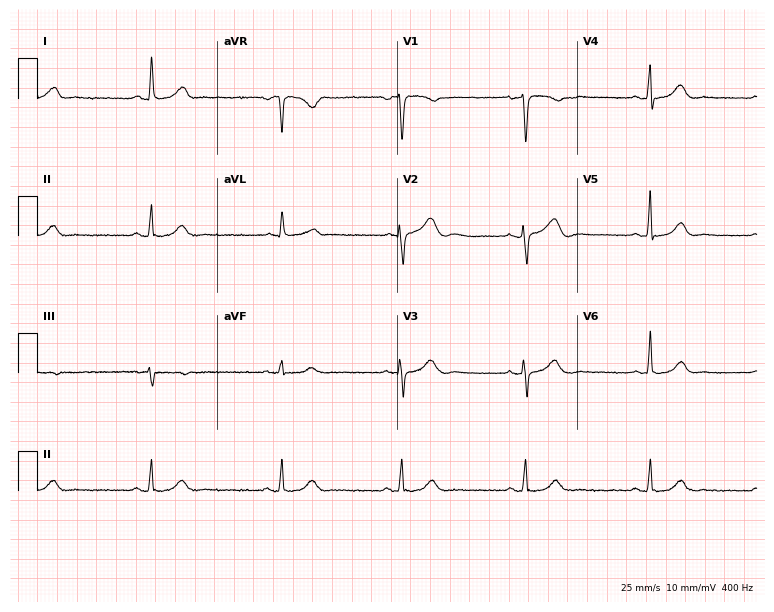
Electrocardiogram, a 54-year-old woman. Interpretation includes sinus bradycardia (a sinus rate of 50 beats per minute or less).